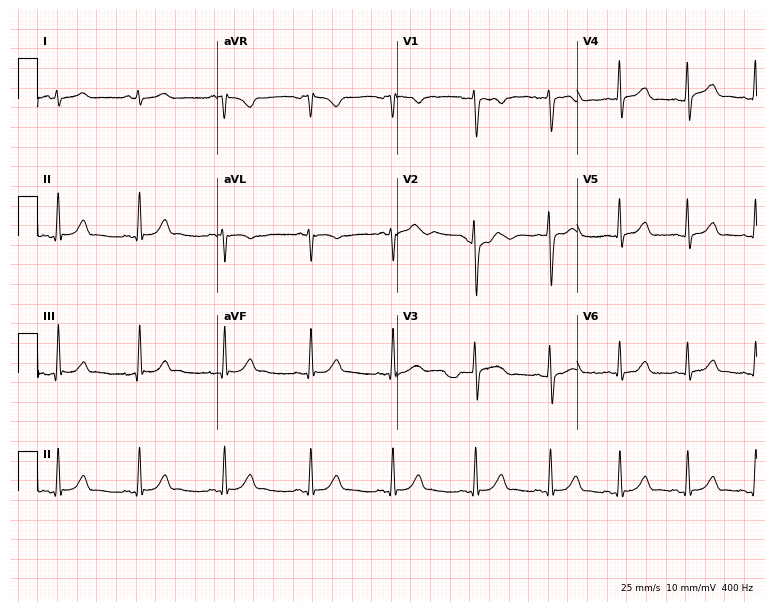
12-lead ECG from a woman, 27 years old (7.3-second recording at 400 Hz). No first-degree AV block, right bundle branch block, left bundle branch block, sinus bradycardia, atrial fibrillation or sinus tachycardia recorded for this tracing. Other findings, if any, are not listed.